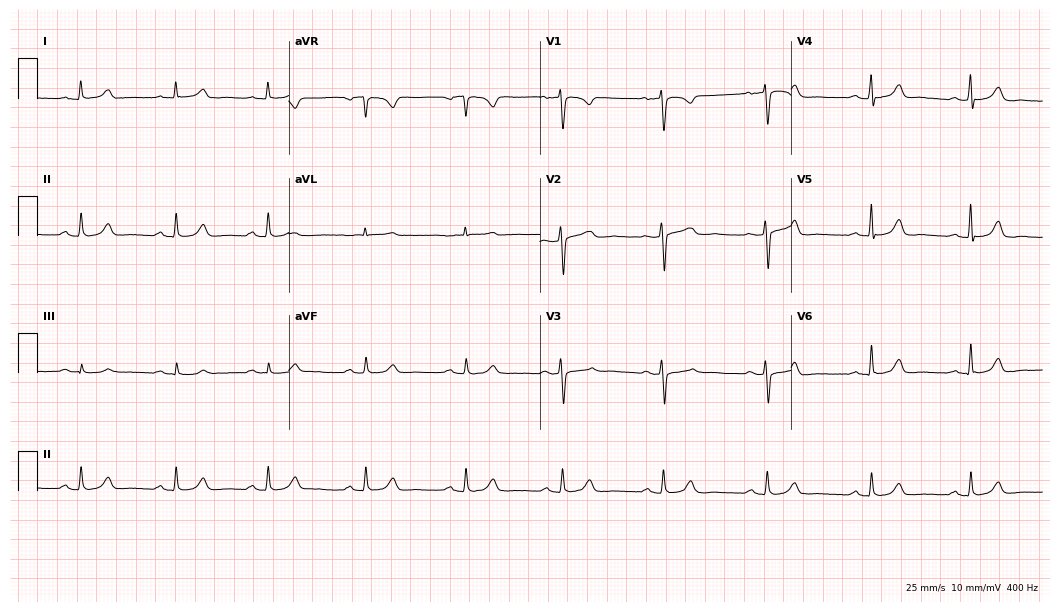
12-lead ECG from a 48-year-old female. Labelled as a normal ECG.